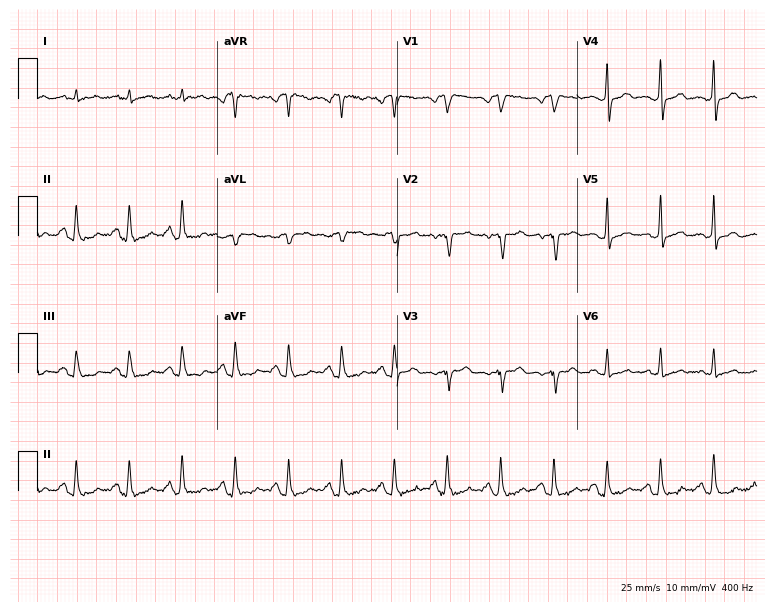
12-lead ECG from a 59-year-old male (7.3-second recording at 400 Hz). Shows sinus tachycardia (a sinus rate of 100 beats per minute or more).